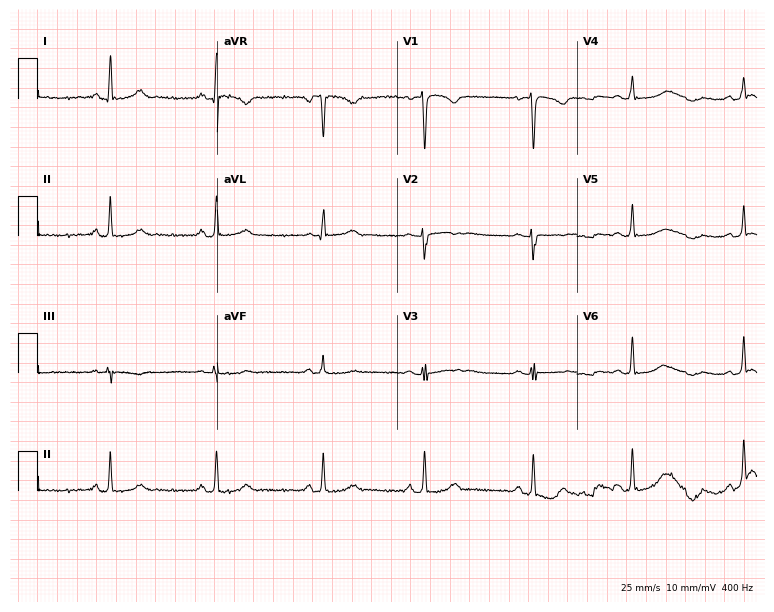
12-lead ECG from a woman, 29 years old (7.3-second recording at 400 Hz). Recorded interpretation: within normal limits.